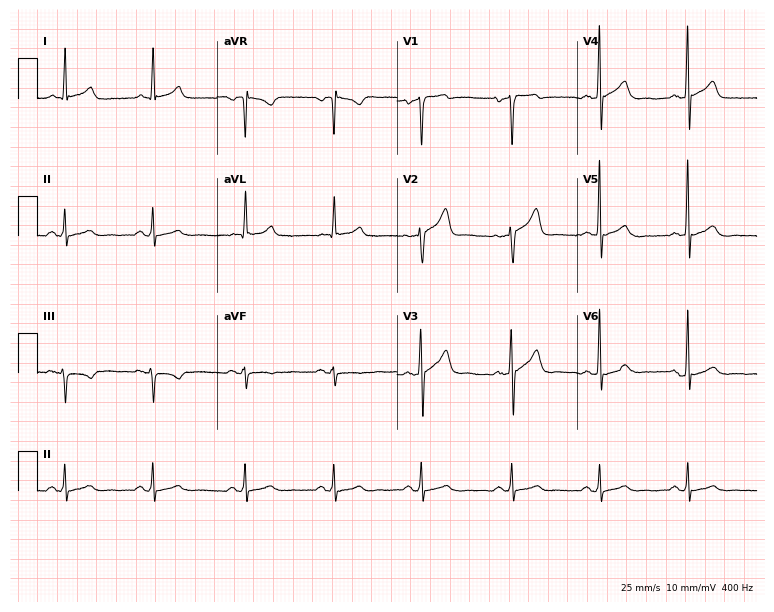
ECG — a male patient, 46 years old. Labelled as a normal ECG.